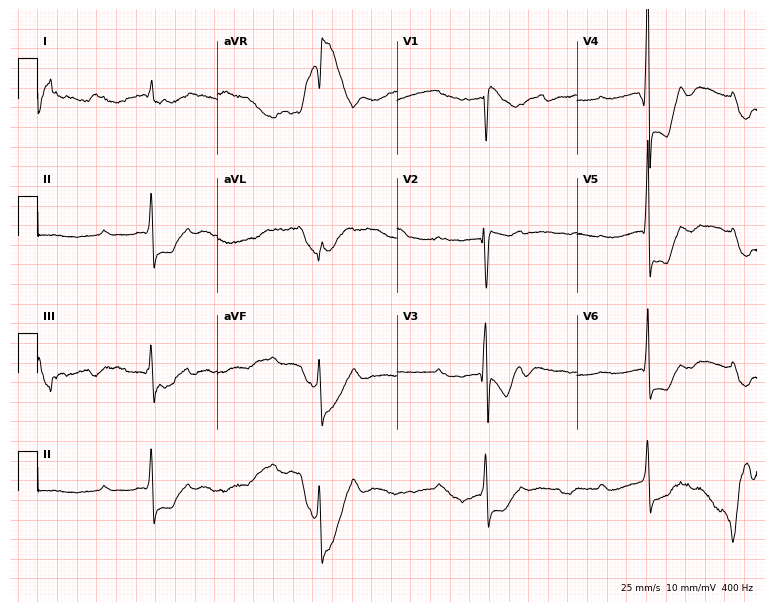
12-lead ECG (7.3-second recording at 400 Hz) from a man, 84 years old. Screened for six findings — first-degree AV block, right bundle branch block, left bundle branch block, sinus bradycardia, atrial fibrillation, sinus tachycardia — none is recorded. Findings outside these six are not listed.